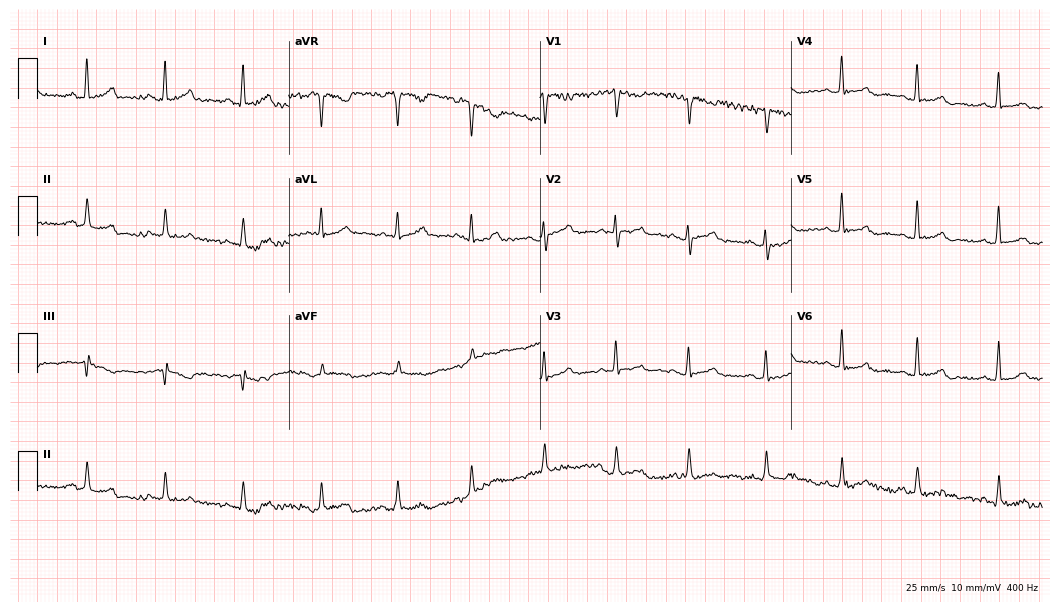
12-lead ECG from a female, 37 years old. Labelled as a normal ECG.